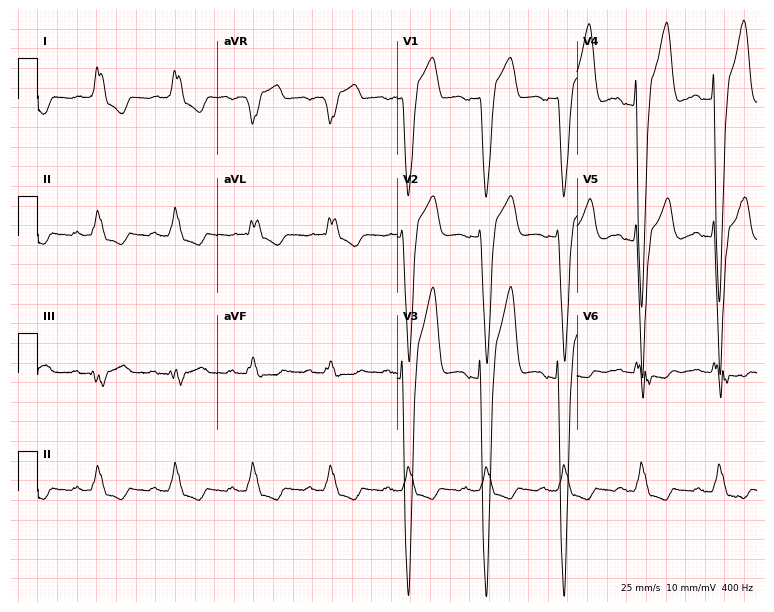
12-lead ECG from a 77-year-old man (7.3-second recording at 400 Hz). Shows left bundle branch block.